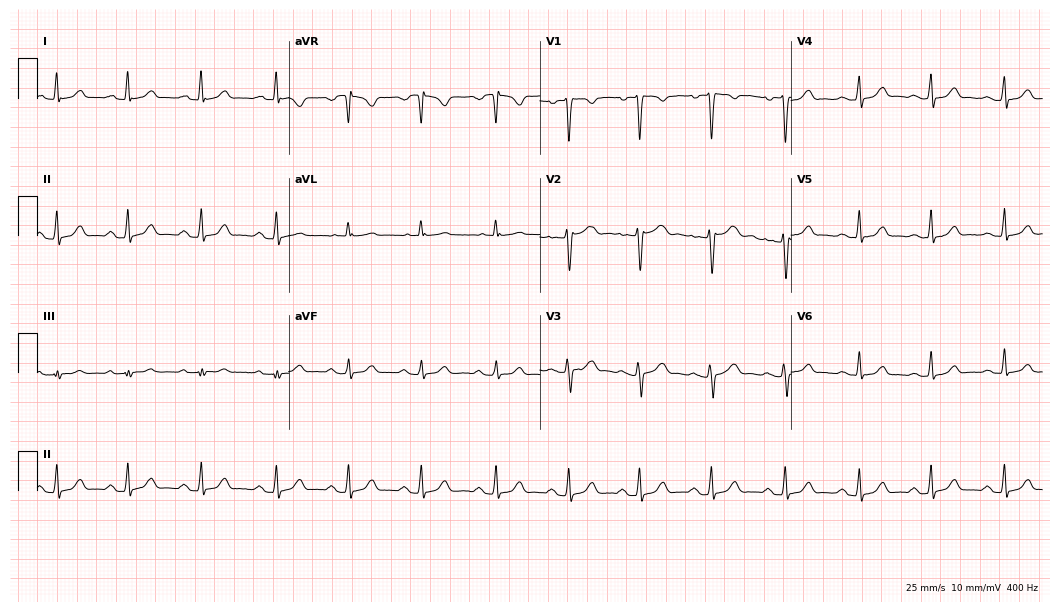
Electrocardiogram (10.2-second recording at 400 Hz), a female patient, 21 years old. Overall reading on record: normal ECG.